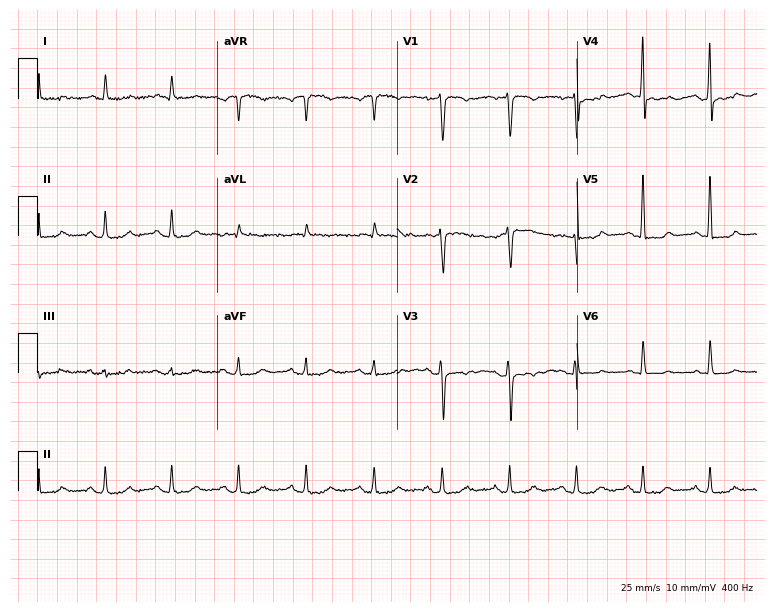
Resting 12-lead electrocardiogram (7.3-second recording at 400 Hz). Patient: a male, 51 years old. None of these six findings is recorded: first-degree AV block, right bundle branch block, left bundle branch block, sinus bradycardia, atrial fibrillation, sinus tachycardia.